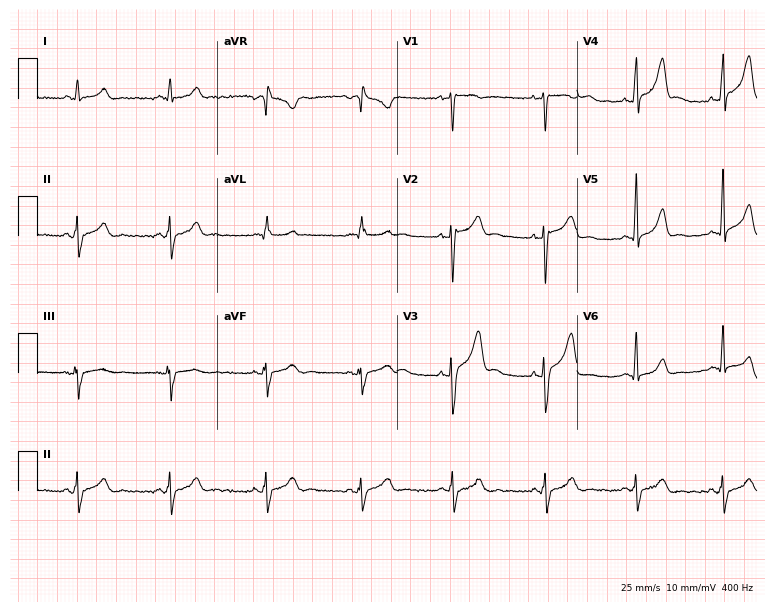
Resting 12-lead electrocardiogram (7.3-second recording at 400 Hz). Patient: a 35-year-old male. None of these six findings is recorded: first-degree AV block, right bundle branch block, left bundle branch block, sinus bradycardia, atrial fibrillation, sinus tachycardia.